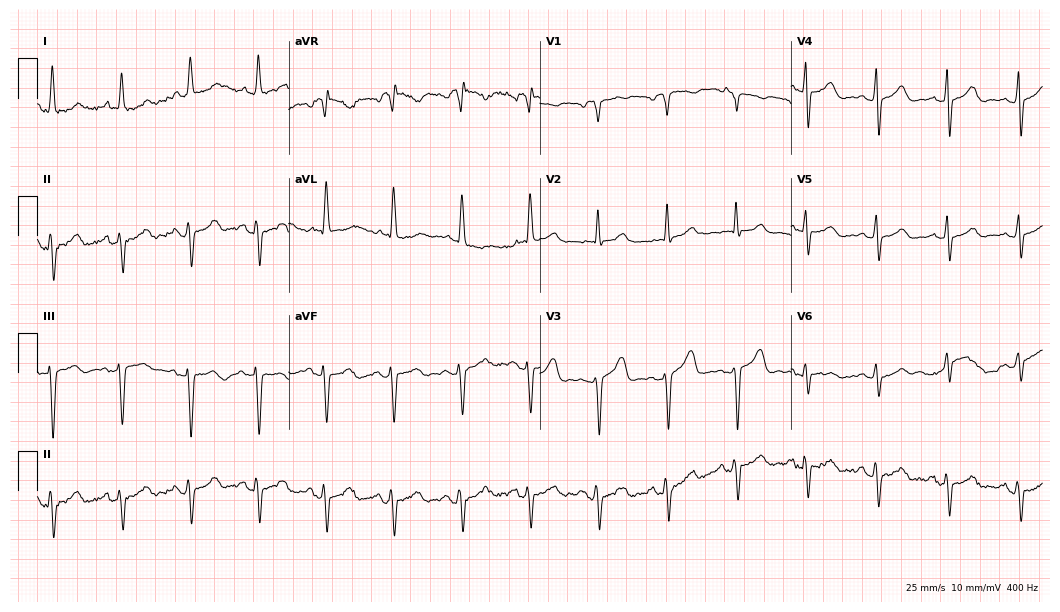
Standard 12-lead ECG recorded from a 78-year-old female patient. None of these six findings is recorded: first-degree AV block, right bundle branch block (RBBB), left bundle branch block (LBBB), sinus bradycardia, atrial fibrillation (AF), sinus tachycardia. Findings outside these six are not listed.